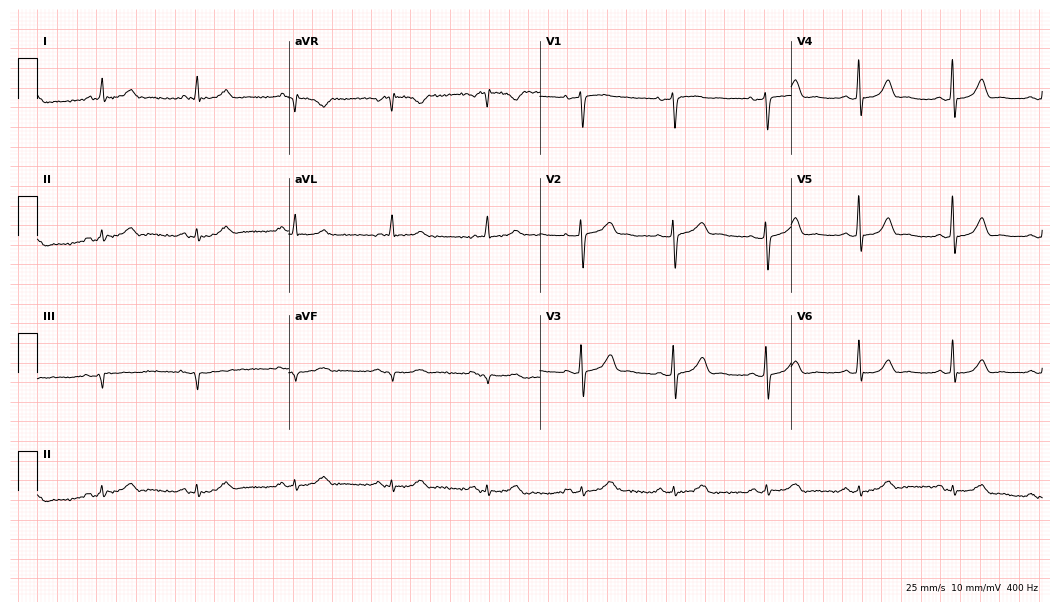
Standard 12-lead ECG recorded from a 66-year-old female patient. Read as a normal ECG.